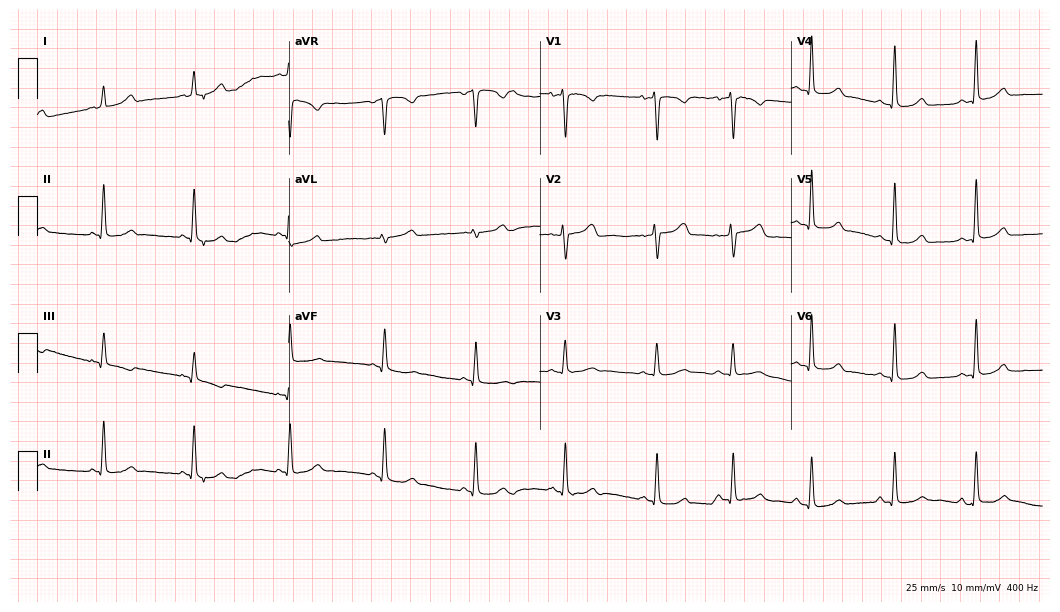
ECG (10.2-second recording at 400 Hz) — a woman, 24 years old. Labelled as a normal ECG.